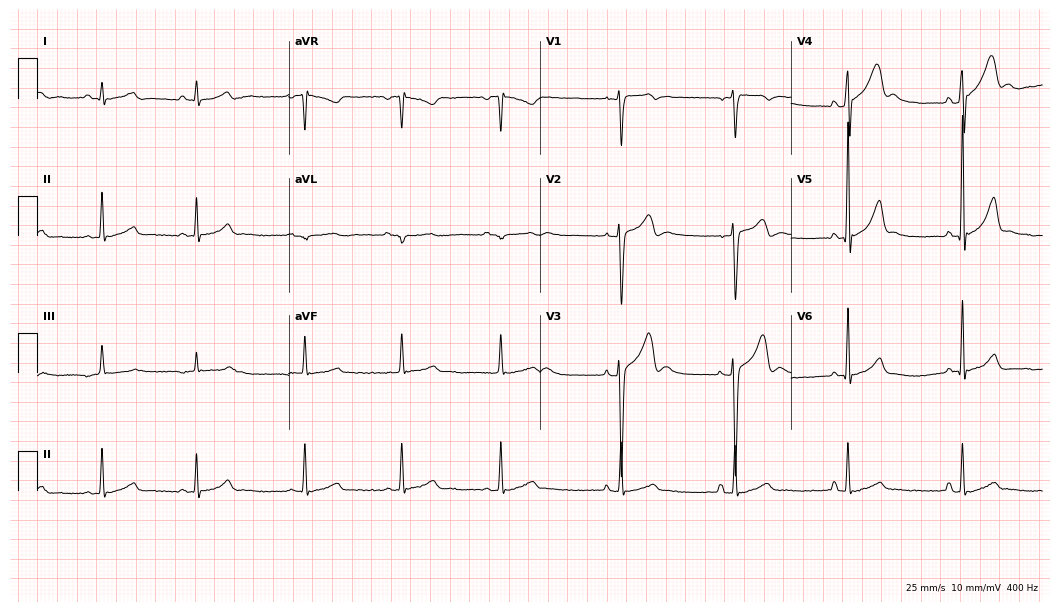
Electrocardiogram, an 18-year-old man. Of the six screened findings (first-degree AV block, right bundle branch block, left bundle branch block, sinus bradycardia, atrial fibrillation, sinus tachycardia), none is recorded. Only these six findings were labelled.